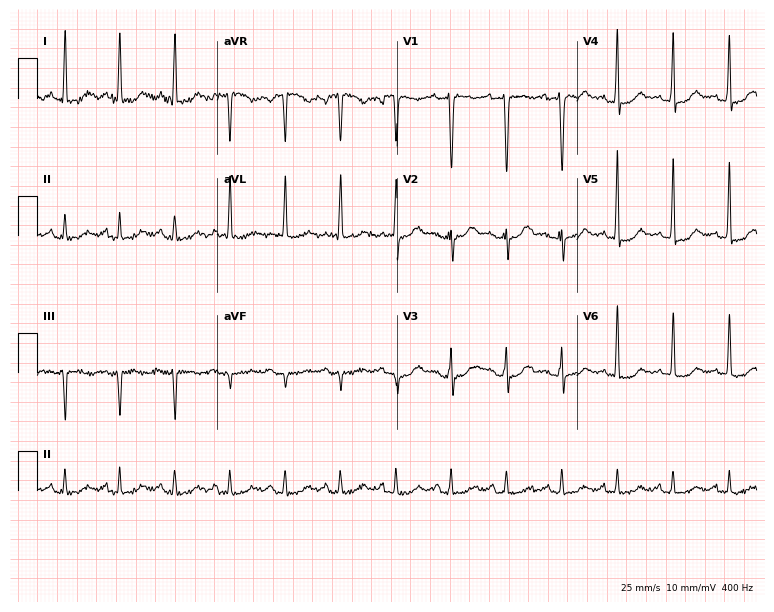
ECG — a 75-year-old female. Findings include sinus tachycardia (a sinus rate of 100 beats per minute or more).